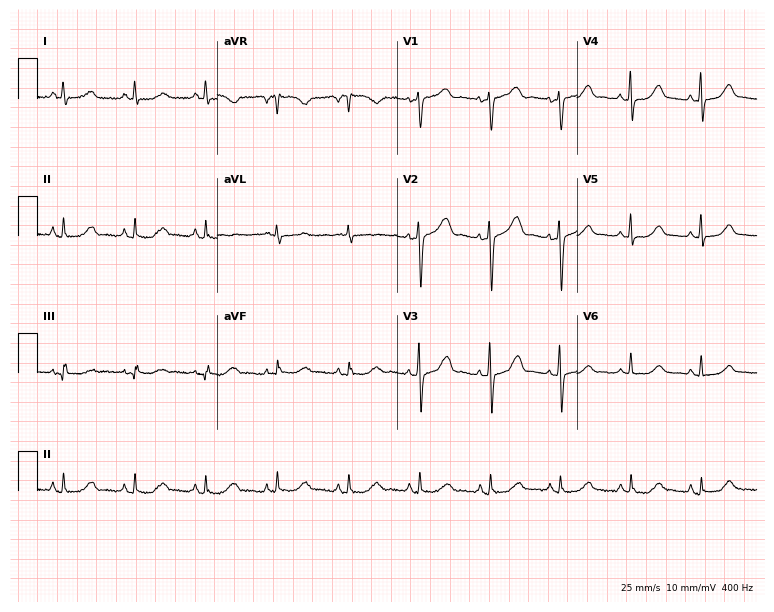
12-lead ECG from a 65-year-old female patient. Recorded interpretation: within normal limits.